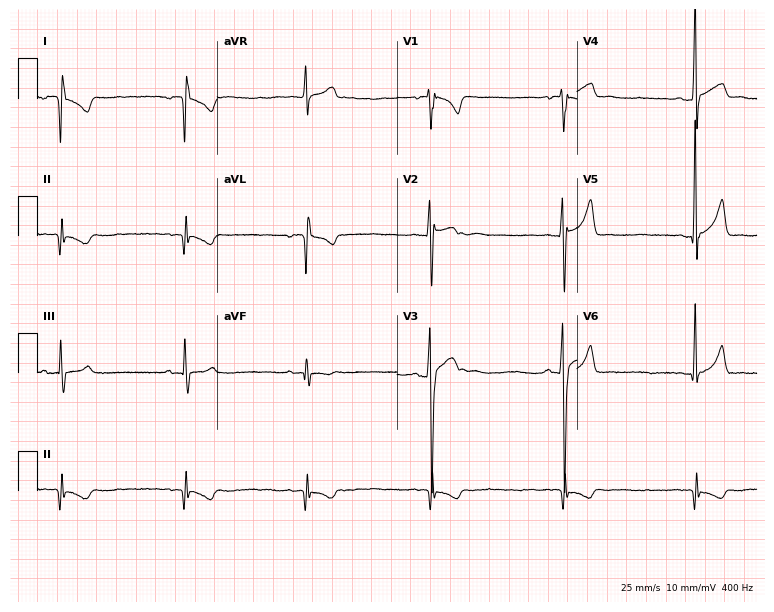
12-lead ECG (7.3-second recording at 400 Hz) from a male patient, 19 years old. Screened for six findings — first-degree AV block, right bundle branch block, left bundle branch block, sinus bradycardia, atrial fibrillation, sinus tachycardia — none is recorded.